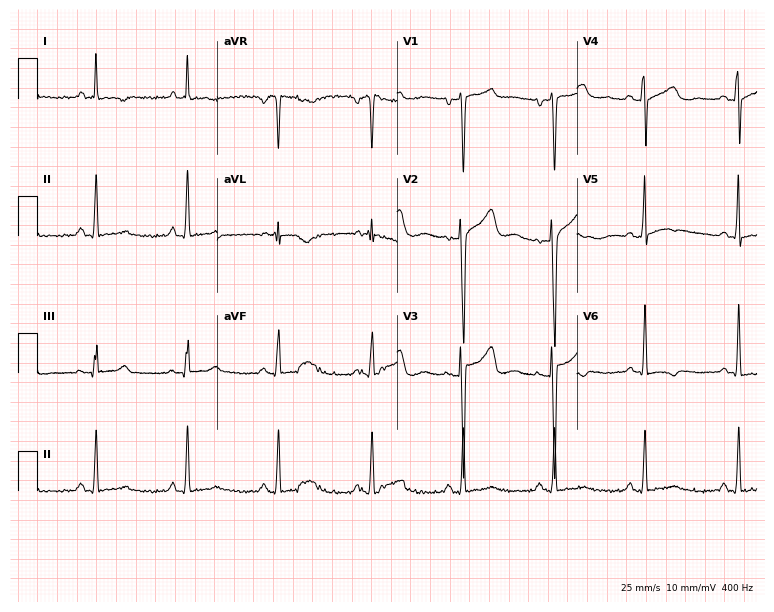
Electrocardiogram, a female patient, 28 years old. Of the six screened findings (first-degree AV block, right bundle branch block, left bundle branch block, sinus bradycardia, atrial fibrillation, sinus tachycardia), none is recorded.